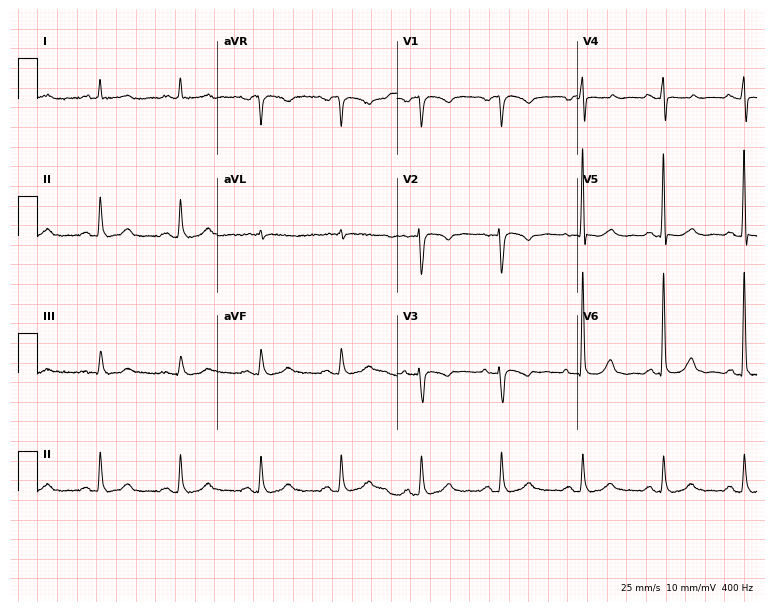
Standard 12-lead ECG recorded from a 78-year-old female (7.3-second recording at 400 Hz). None of these six findings is recorded: first-degree AV block, right bundle branch block, left bundle branch block, sinus bradycardia, atrial fibrillation, sinus tachycardia.